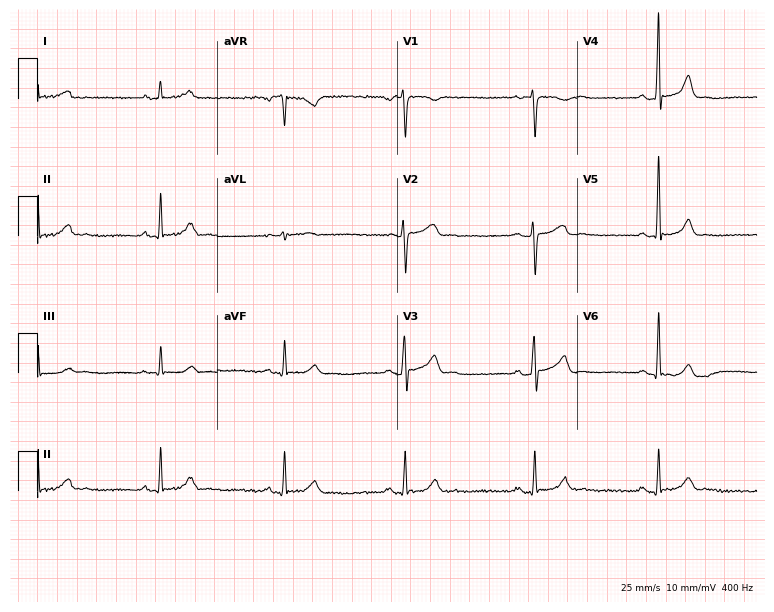
Electrocardiogram, a male, 34 years old. Overall reading on record: normal ECG.